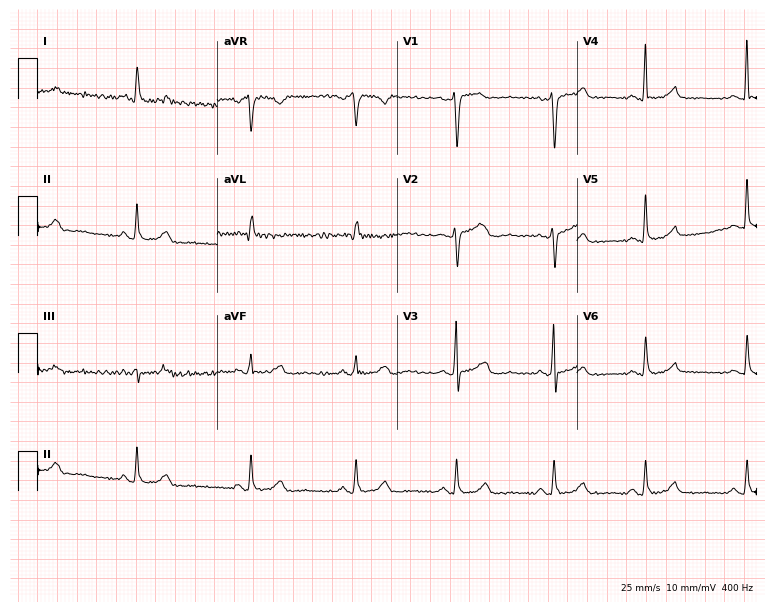
Electrocardiogram (7.3-second recording at 400 Hz), a female, 55 years old. Of the six screened findings (first-degree AV block, right bundle branch block, left bundle branch block, sinus bradycardia, atrial fibrillation, sinus tachycardia), none is recorded.